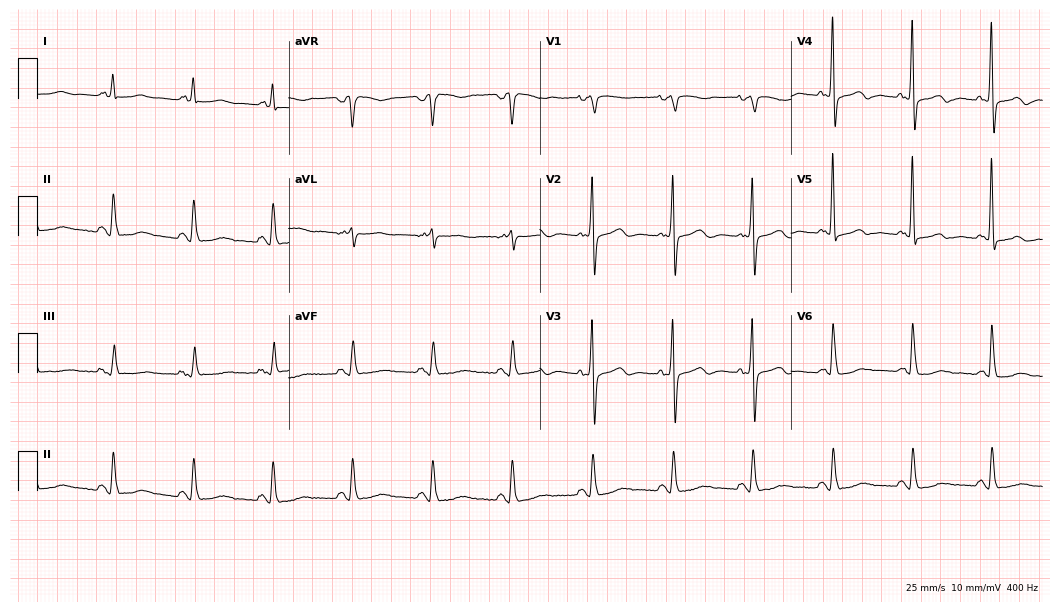
Electrocardiogram (10.2-second recording at 400 Hz), a 72-year-old female. Of the six screened findings (first-degree AV block, right bundle branch block (RBBB), left bundle branch block (LBBB), sinus bradycardia, atrial fibrillation (AF), sinus tachycardia), none is recorded.